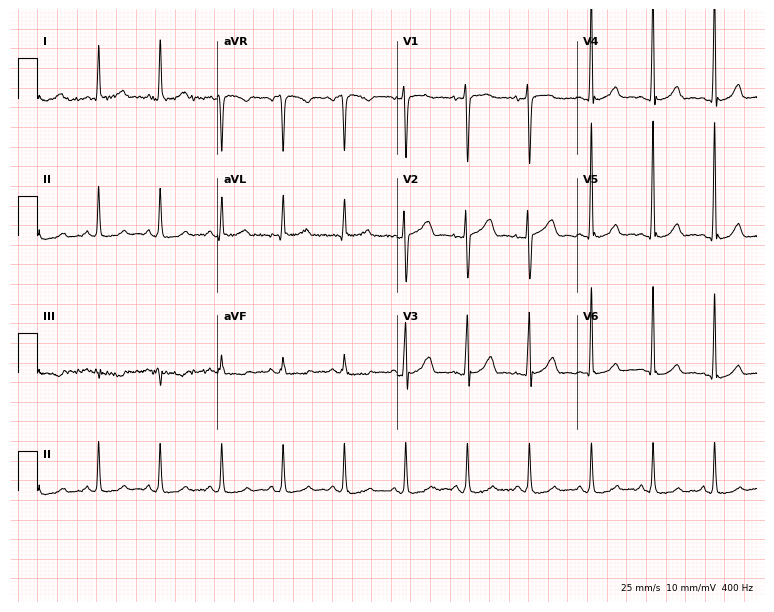
12-lead ECG from a 44-year-old female. No first-degree AV block, right bundle branch block, left bundle branch block, sinus bradycardia, atrial fibrillation or sinus tachycardia recorded for this tracing. Other findings, if any, are not listed.